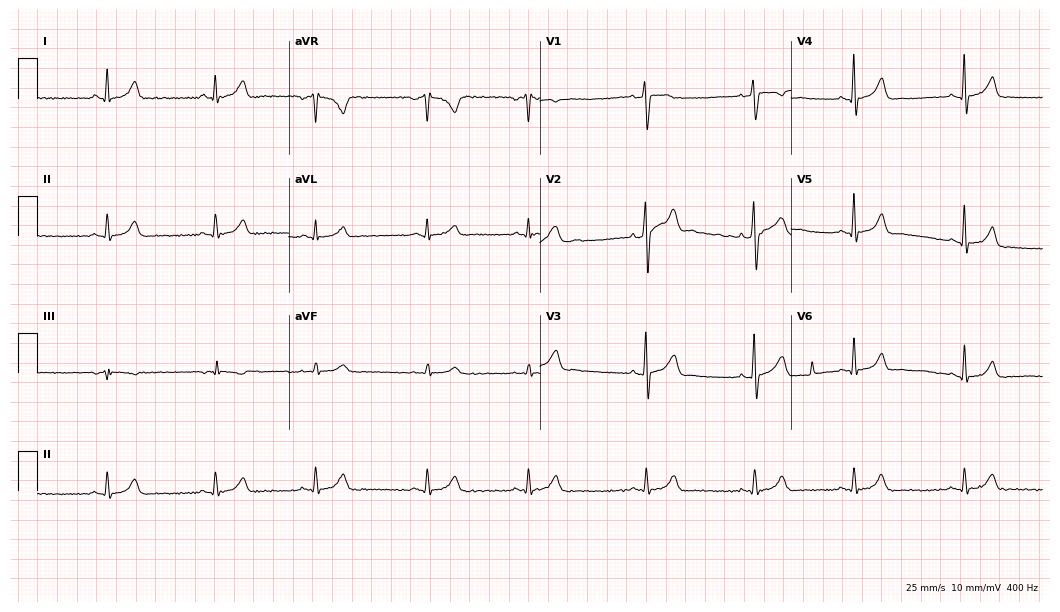
Electrocardiogram, a man, 31 years old. Overall reading on record: normal ECG.